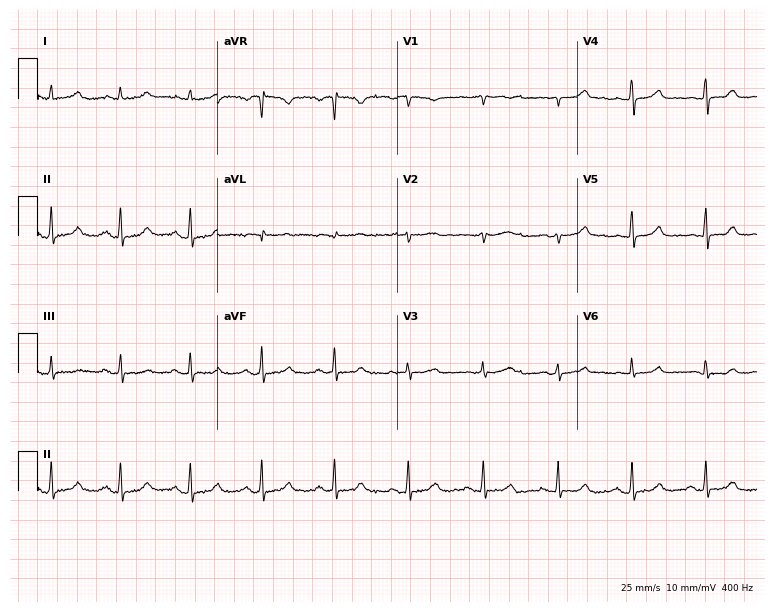
ECG — a female, 57 years old. Labelled as a normal ECG.